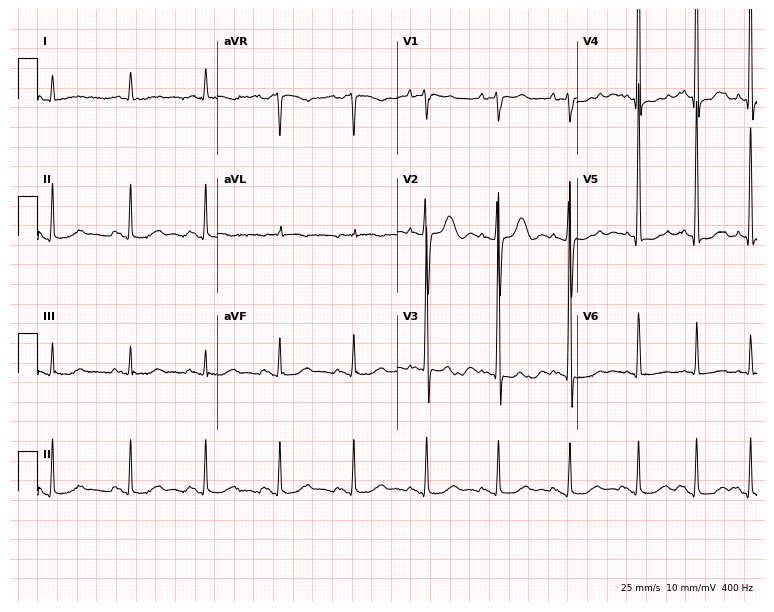
12-lead ECG from an 82-year-old woman. No first-degree AV block, right bundle branch block, left bundle branch block, sinus bradycardia, atrial fibrillation or sinus tachycardia recorded for this tracing. Only these six findings were labelled.